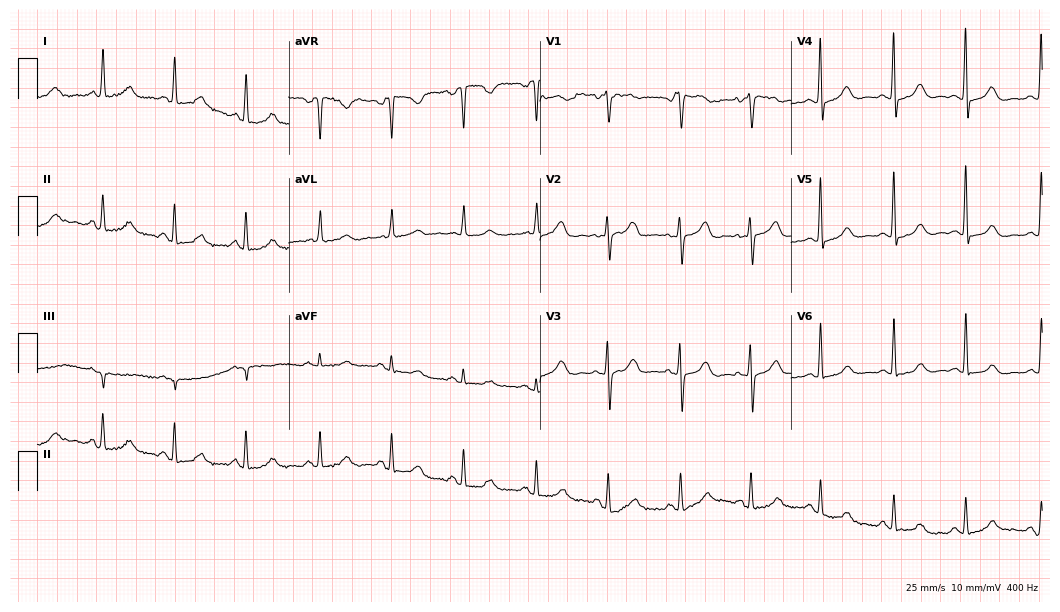
Standard 12-lead ECG recorded from a 65-year-old female (10.2-second recording at 400 Hz). None of these six findings is recorded: first-degree AV block, right bundle branch block (RBBB), left bundle branch block (LBBB), sinus bradycardia, atrial fibrillation (AF), sinus tachycardia.